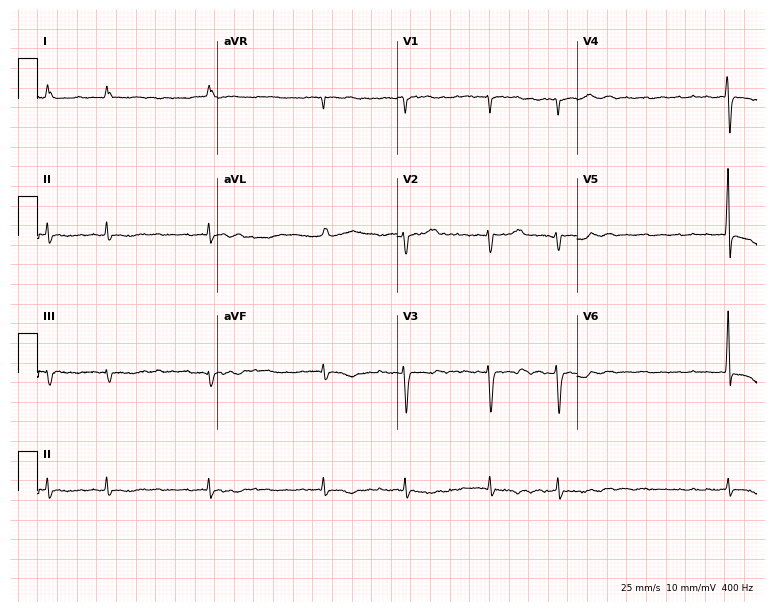
Standard 12-lead ECG recorded from a female patient, 67 years old (7.3-second recording at 400 Hz). The tracing shows atrial fibrillation (AF).